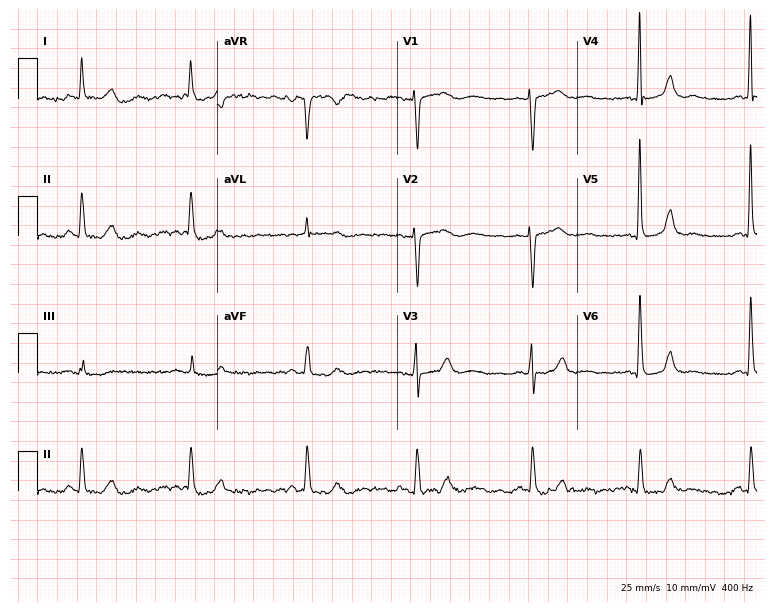
12-lead ECG from a 70-year-old female. Screened for six findings — first-degree AV block, right bundle branch block, left bundle branch block, sinus bradycardia, atrial fibrillation, sinus tachycardia — none is recorded. Findings outside these six are not listed.